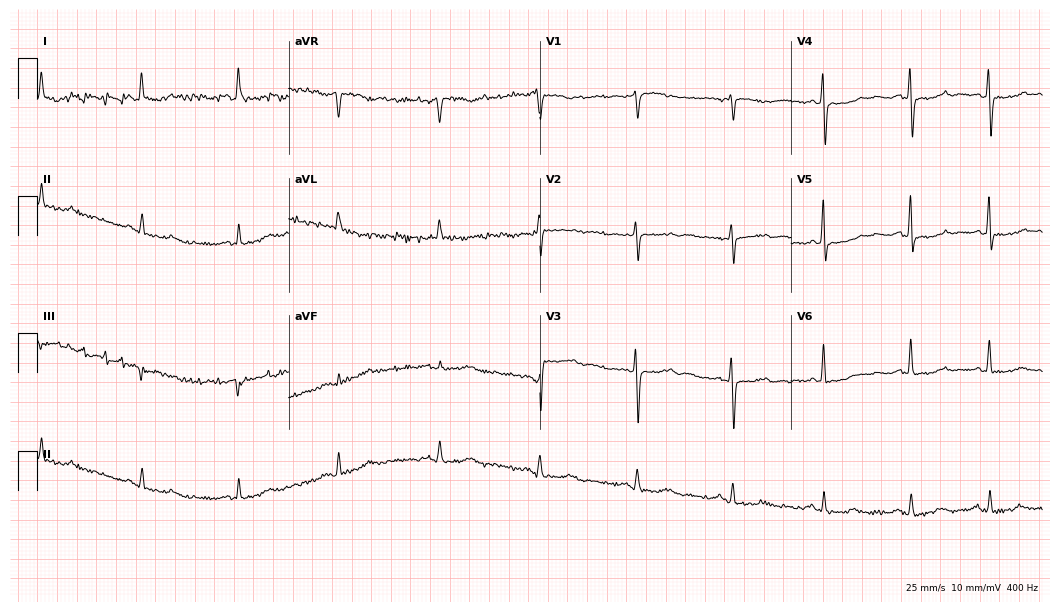
12-lead ECG (10.2-second recording at 400 Hz) from a woman, 78 years old. Labelled as a normal ECG.